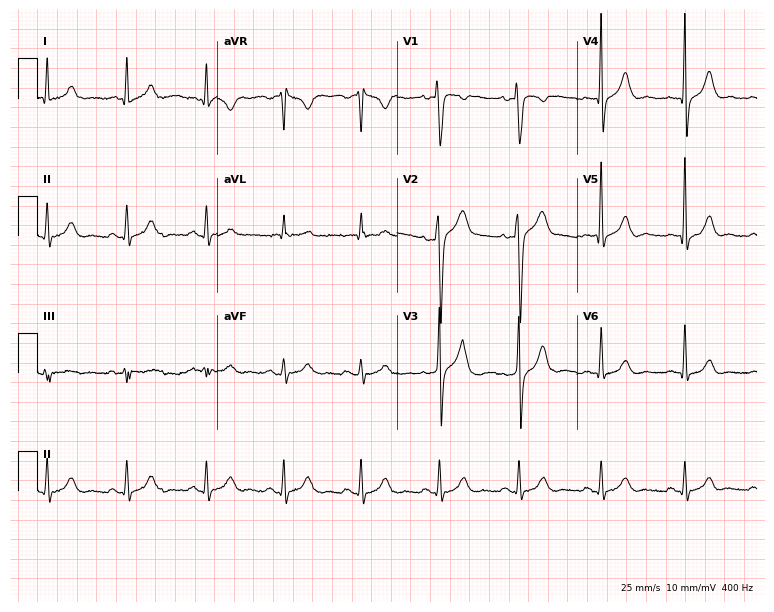
Electrocardiogram (7.3-second recording at 400 Hz), a male patient, 53 years old. Overall reading on record: normal ECG.